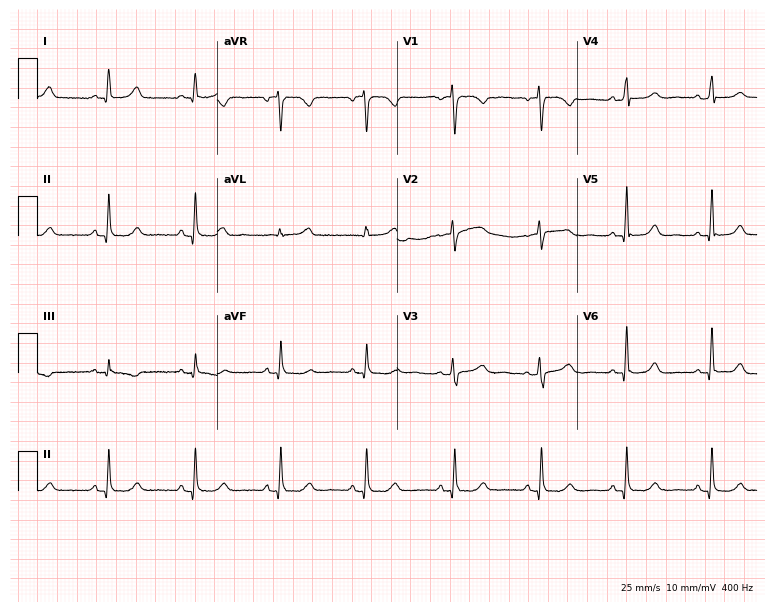
Resting 12-lead electrocardiogram. Patient: a female, 53 years old. Read as a normal ECG.